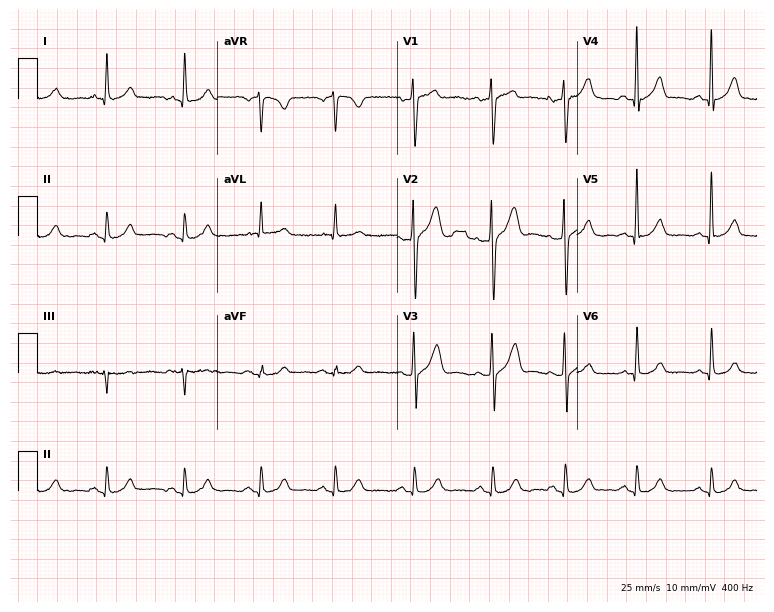
Standard 12-lead ECG recorded from a male, 54 years old. Read as a normal ECG.